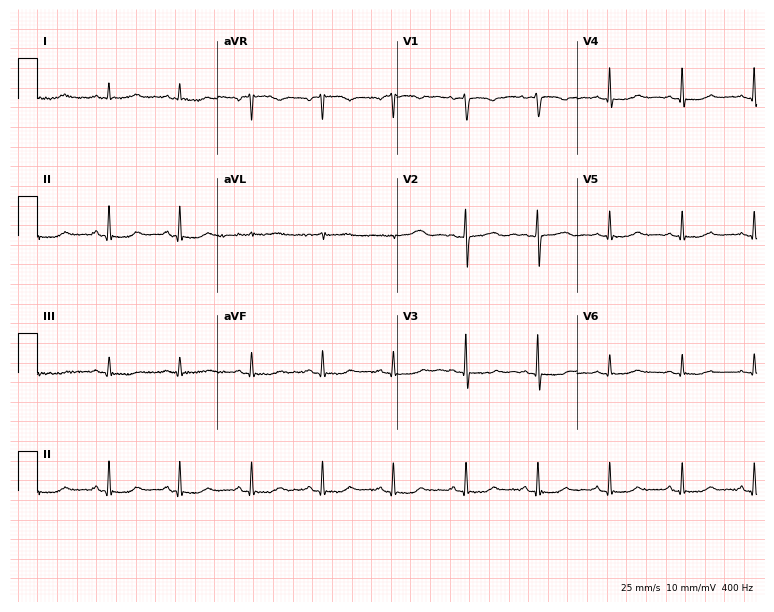
Resting 12-lead electrocardiogram (7.3-second recording at 400 Hz). Patient: a female, 57 years old. None of these six findings is recorded: first-degree AV block, right bundle branch block (RBBB), left bundle branch block (LBBB), sinus bradycardia, atrial fibrillation (AF), sinus tachycardia.